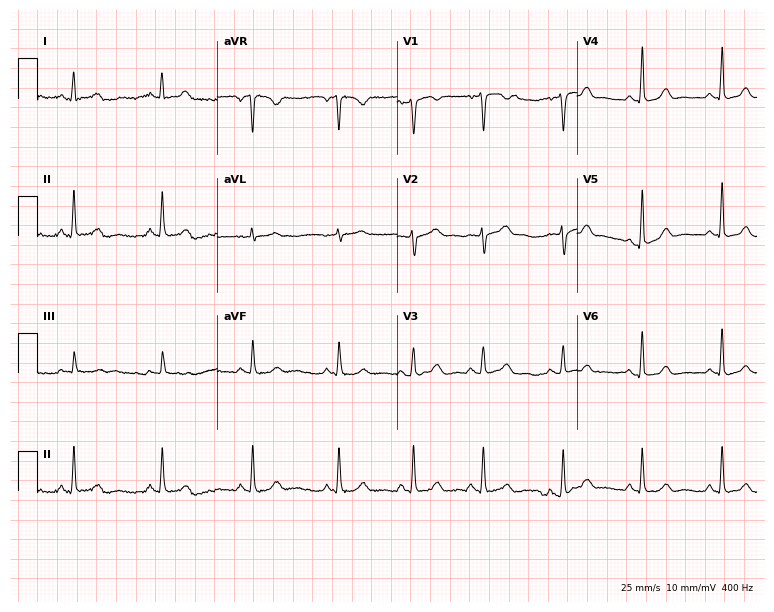
12-lead ECG from a 39-year-old female. Labelled as a normal ECG.